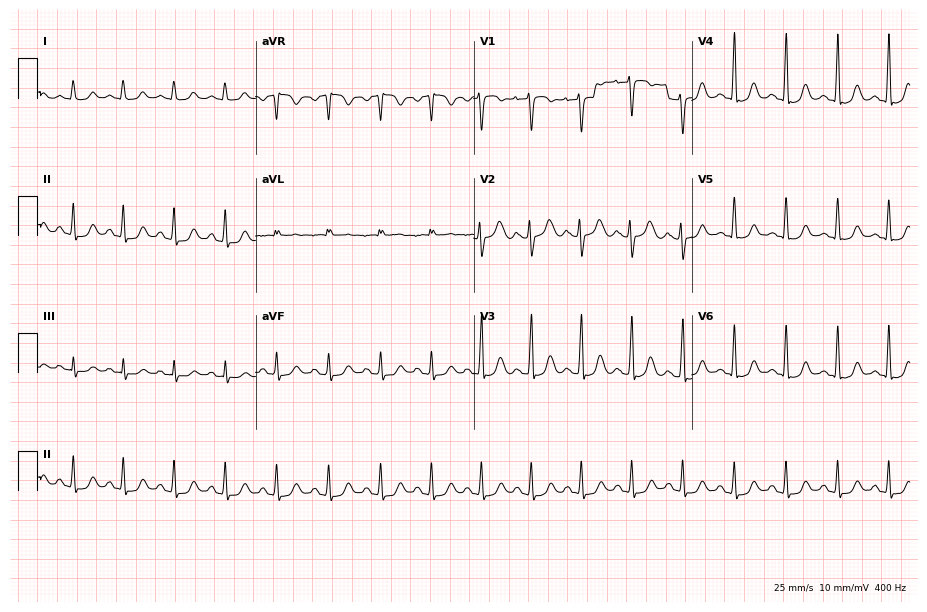
Resting 12-lead electrocardiogram (8.9-second recording at 400 Hz). Patient: a woman, 31 years old. The tracing shows sinus tachycardia (a sinus rate of 100 beats per minute or more).